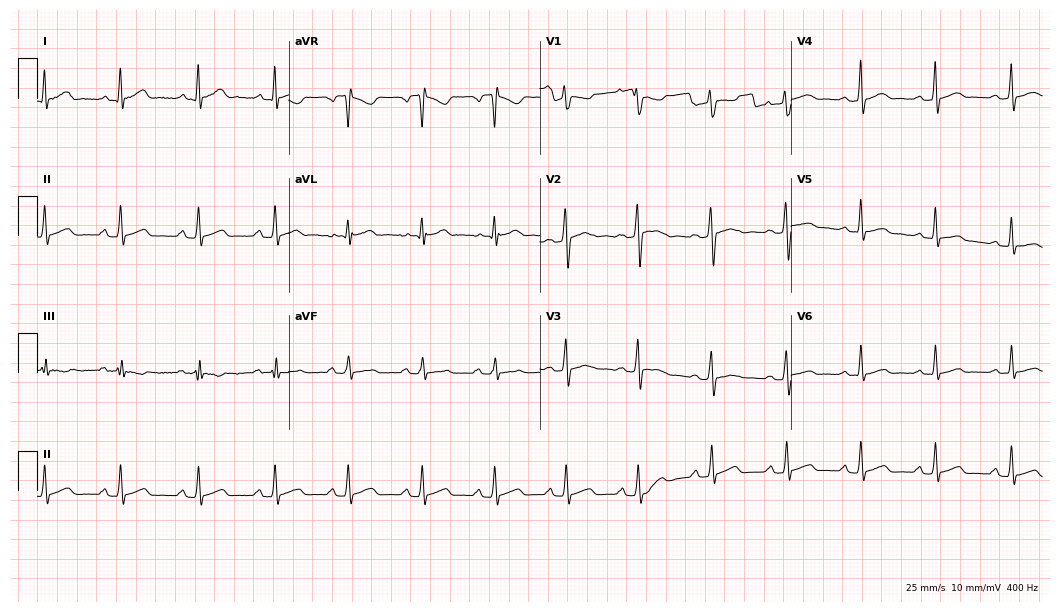
ECG (10.2-second recording at 400 Hz) — a 24-year-old female patient. Labelled as a normal ECG.